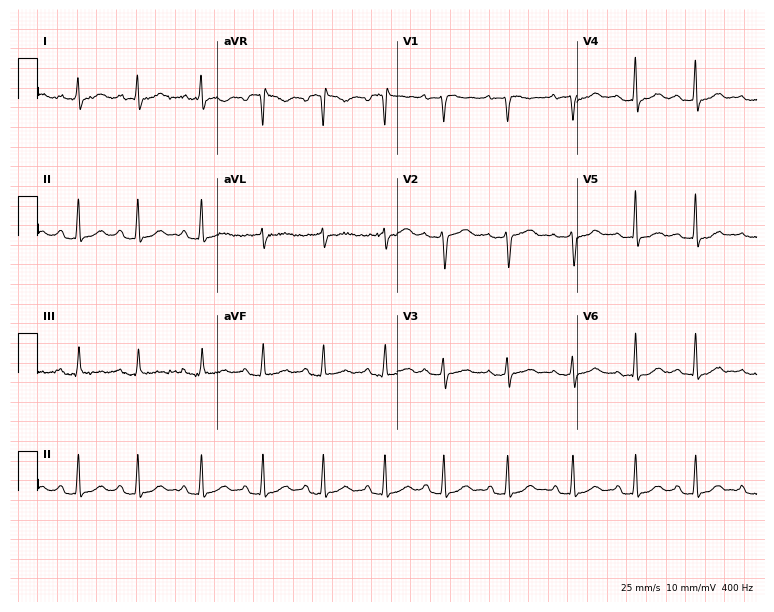
Resting 12-lead electrocardiogram (7.3-second recording at 400 Hz). Patient: a 29-year-old female. Read as a normal ECG.